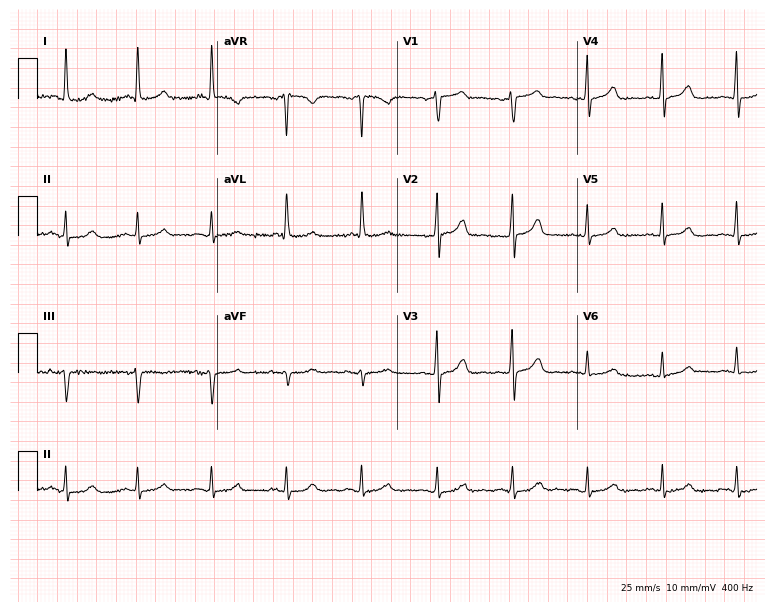
Standard 12-lead ECG recorded from a 79-year-old female patient (7.3-second recording at 400 Hz). Read as a normal ECG.